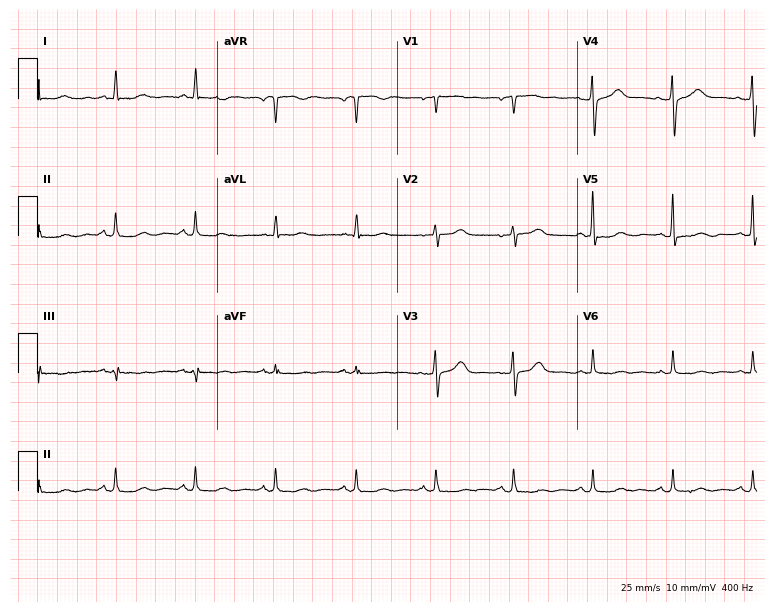
Standard 12-lead ECG recorded from a 73-year-old woman. None of these six findings is recorded: first-degree AV block, right bundle branch block, left bundle branch block, sinus bradycardia, atrial fibrillation, sinus tachycardia. Findings outside these six are not listed.